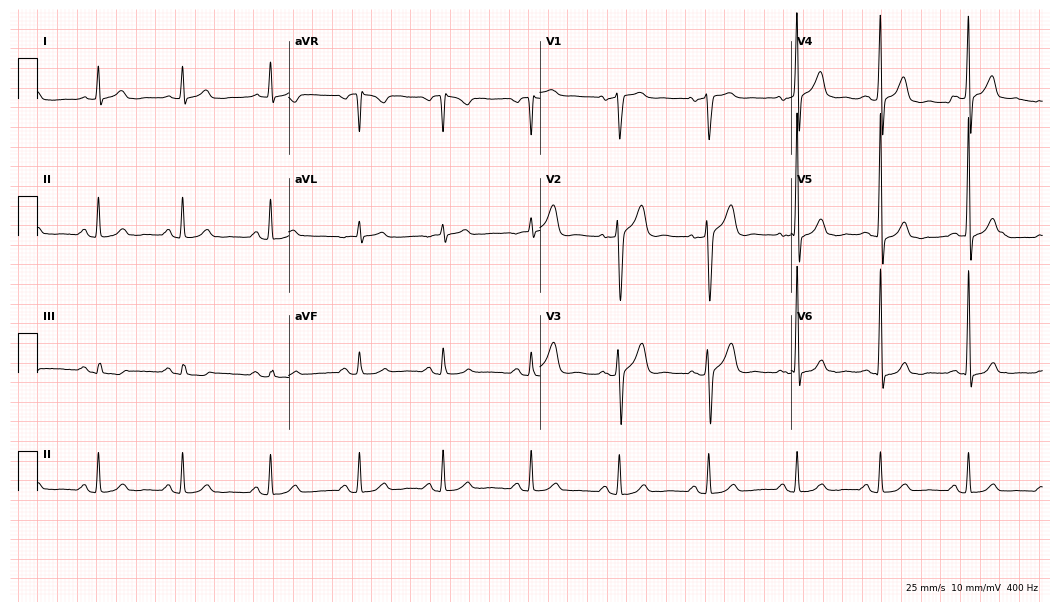
ECG (10.2-second recording at 400 Hz) — a 46-year-old male patient. Labelled as a normal ECG.